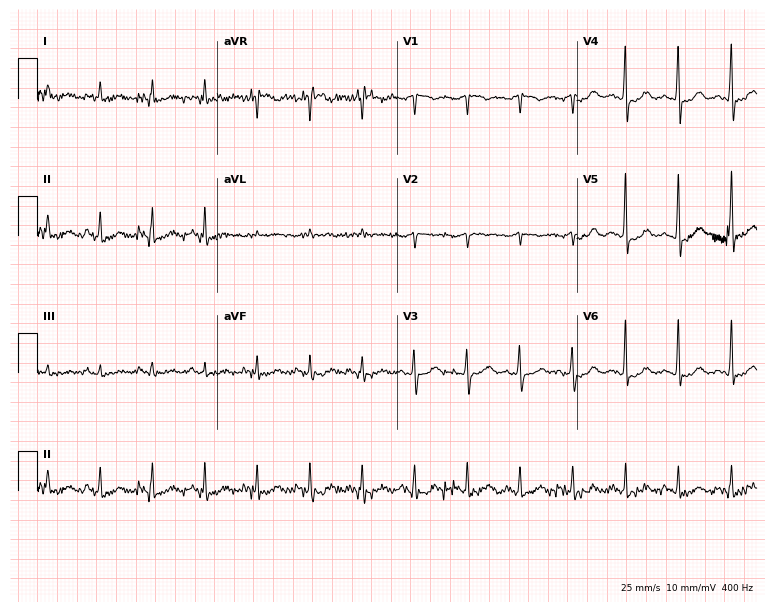
ECG — a male, 84 years old. Screened for six findings — first-degree AV block, right bundle branch block (RBBB), left bundle branch block (LBBB), sinus bradycardia, atrial fibrillation (AF), sinus tachycardia — none is recorded.